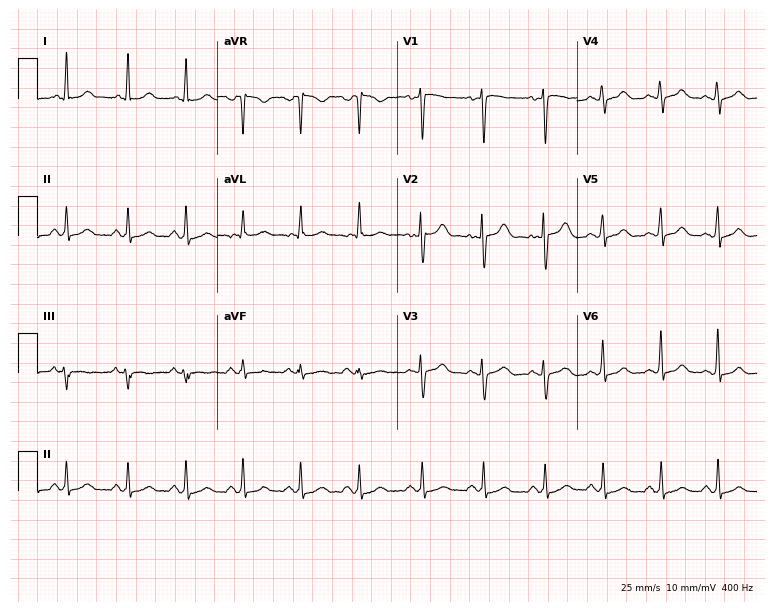
ECG — a female patient, 33 years old. Labelled as a normal ECG.